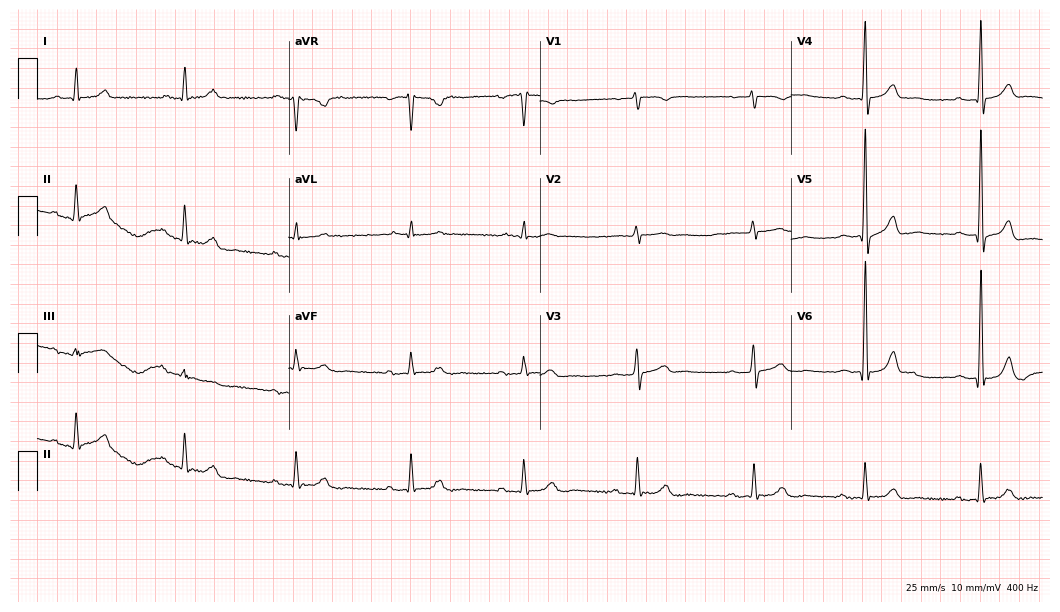
Electrocardiogram (10.2-second recording at 400 Hz), a man, 85 years old. Interpretation includes first-degree AV block.